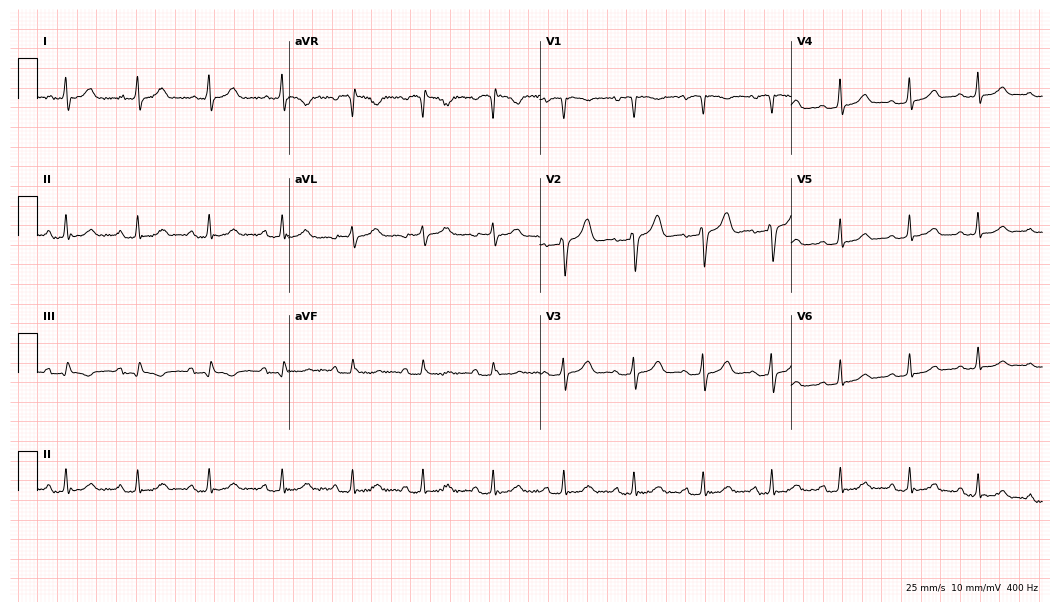
12-lead ECG (10.2-second recording at 400 Hz) from a male, 74 years old. Labelled as a normal ECG.